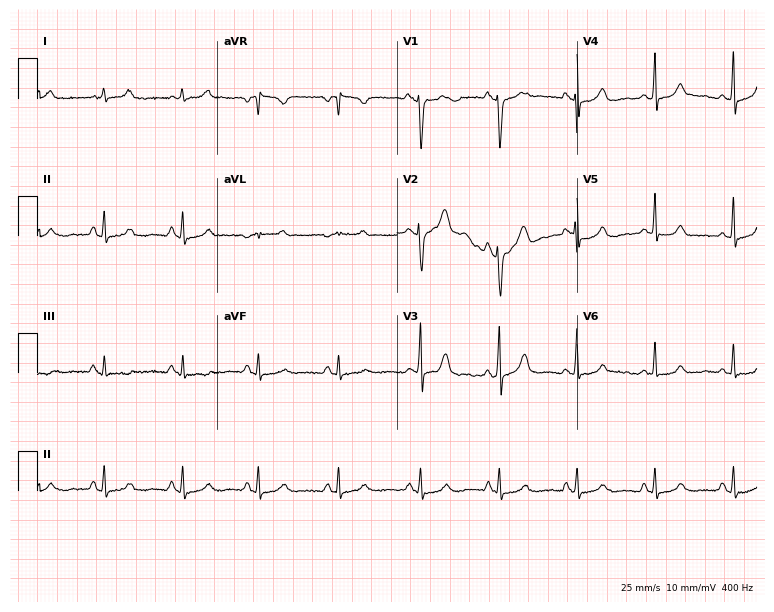
12-lead ECG from a 26-year-old female patient (7.3-second recording at 400 Hz). Recorded interpretation: within normal limits.